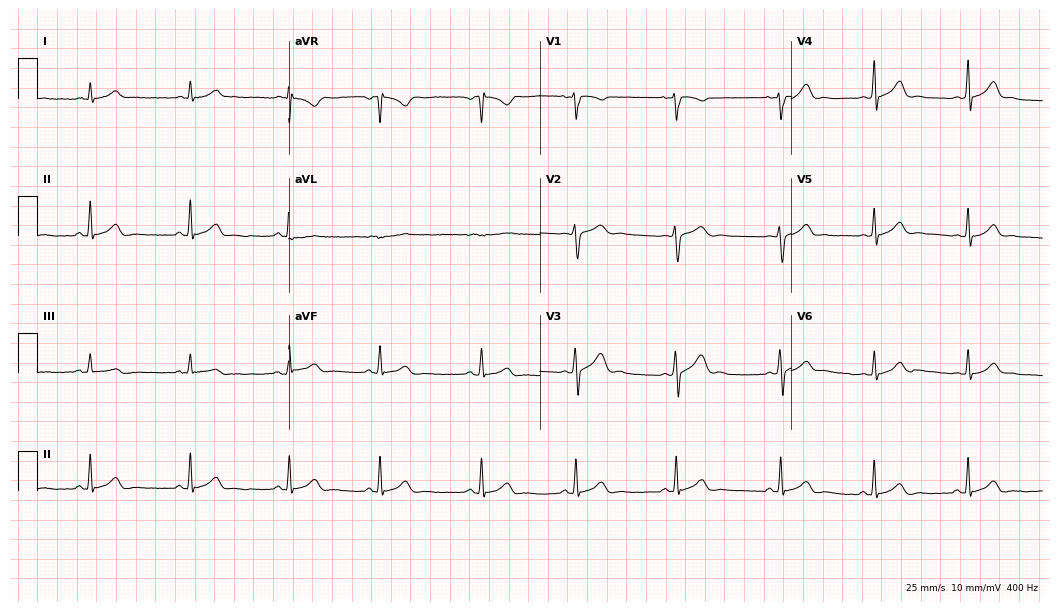
Electrocardiogram (10.2-second recording at 400 Hz), a 21-year-old female patient. Overall reading on record: normal ECG.